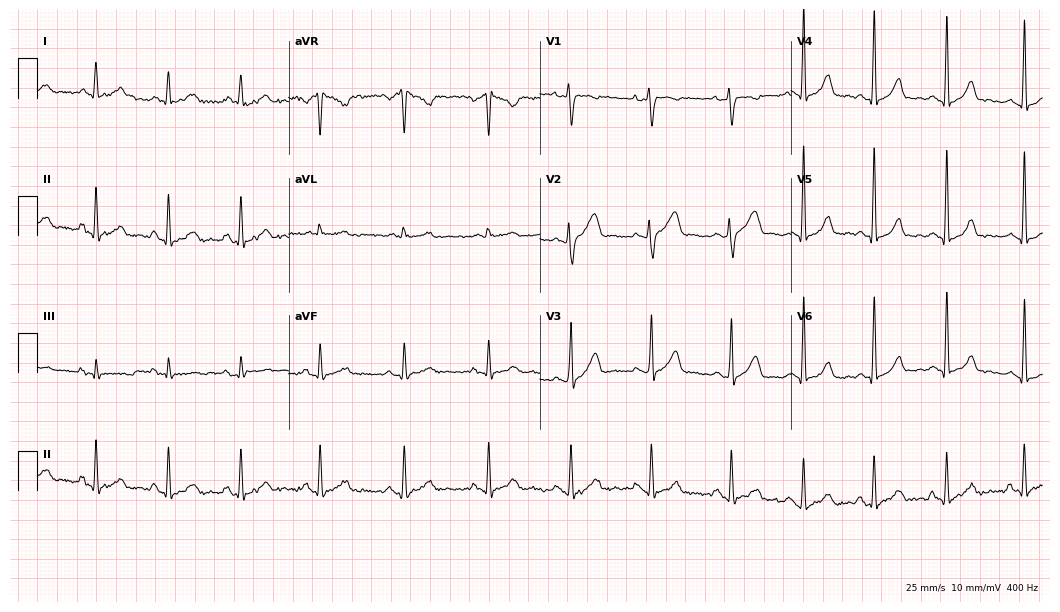
Electrocardiogram (10.2-second recording at 400 Hz), a 34-year-old female. Of the six screened findings (first-degree AV block, right bundle branch block (RBBB), left bundle branch block (LBBB), sinus bradycardia, atrial fibrillation (AF), sinus tachycardia), none is recorded. Only these six findings were labelled.